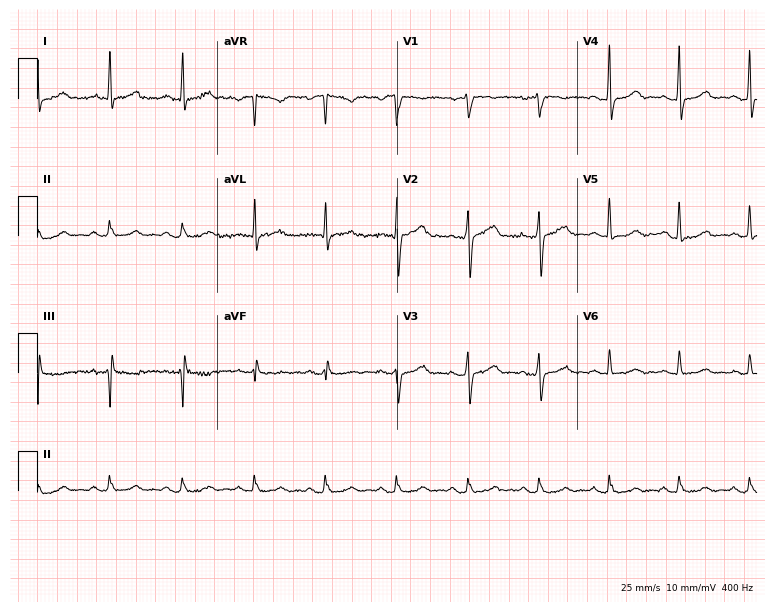
Electrocardiogram (7.3-second recording at 400 Hz), a man, 58 years old. Overall reading on record: normal ECG.